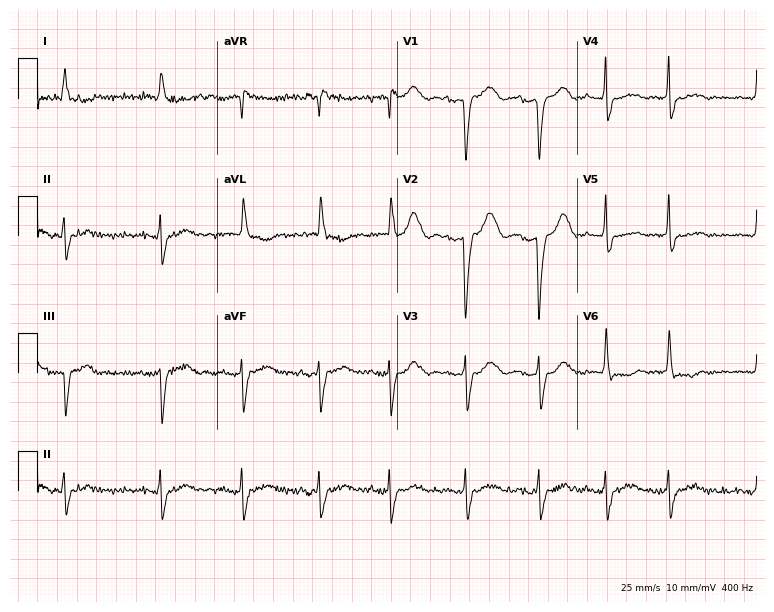
Electrocardiogram (7.3-second recording at 400 Hz), a woman, 84 years old. Of the six screened findings (first-degree AV block, right bundle branch block, left bundle branch block, sinus bradycardia, atrial fibrillation, sinus tachycardia), none is recorded. Findings outside these six are not listed.